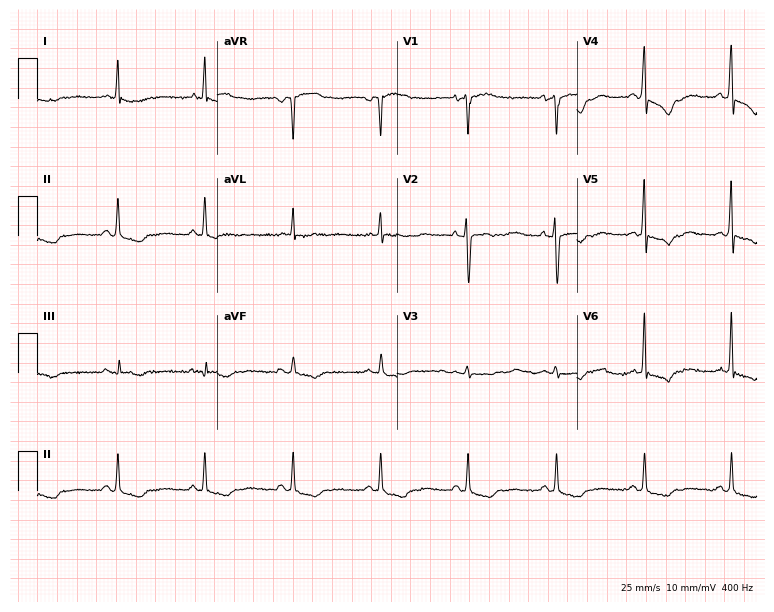
Electrocardiogram, a 74-year-old female patient. Of the six screened findings (first-degree AV block, right bundle branch block, left bundle branch block, sinus bradycardia, atrial fibrillation, sinus tachycardia), none is recorded. Findings outside these six are not listed.